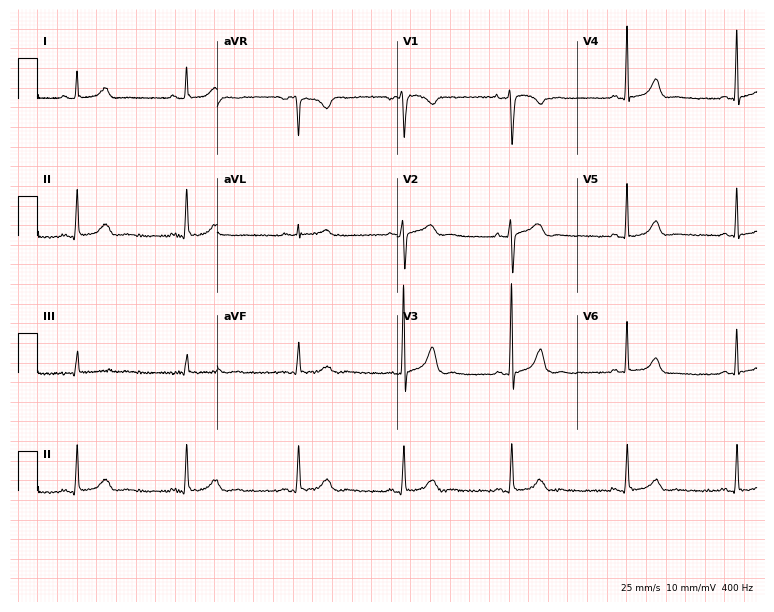
ECG (7.3-second recording at 400 Hz) — a 38-year-old woman. Screened for six findings — first-degree AV block, right bundle branch block, left bundle branch block, sinus bradycardia, atrial fibrillation, sinus tachycardia — none is recorded. Other findings, if any, are not listed.